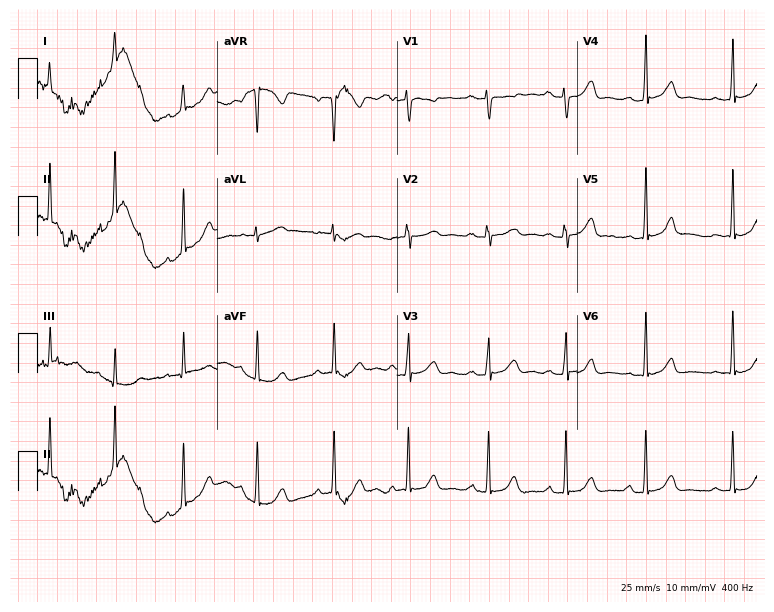
12-lead ECG from a 27-year-old female. Recorded interpretation: within normal limits.